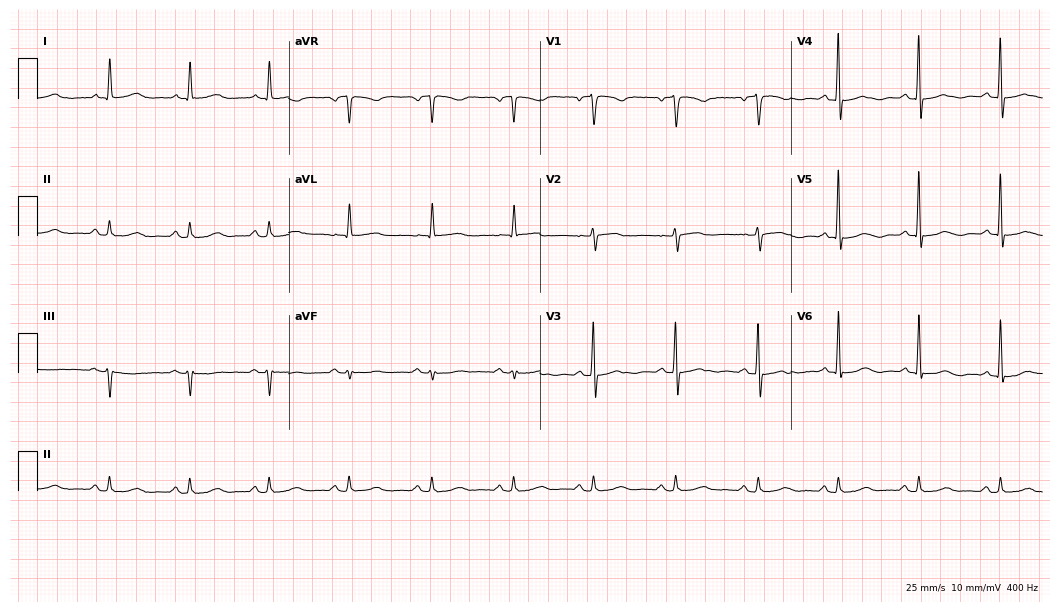
12-lead ECG from an 82-year-old woman (10.2-second recording at 400 Hz). No first-degree AV block, right bundle branch block (RBBB), left bundle branch block (LBBB), sinus bradycardia, atrial fibrillation (AF) or sinus tachycardia recorded for this tracing.